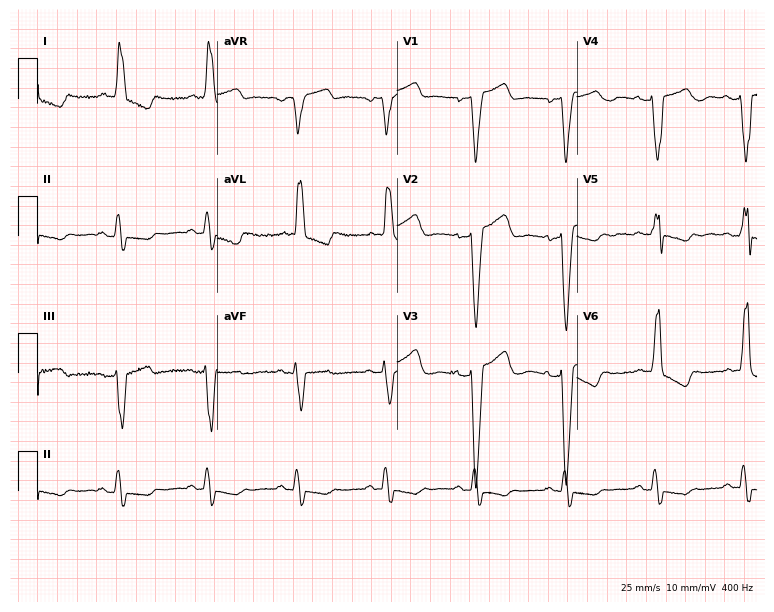
Standard 12-lead ECG recorded from a 55-year-old female (7.3-second recording at 400 Hz). The tracing shows left bundle branch block.